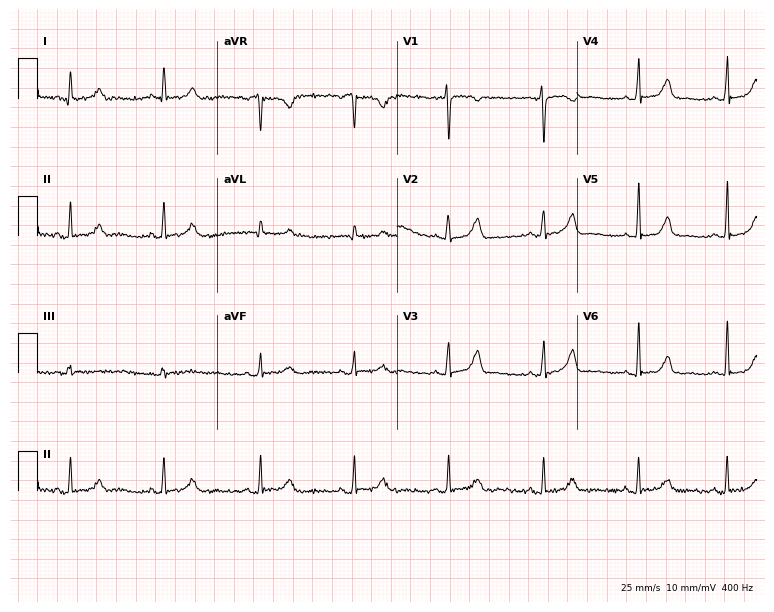
12-lead ECG from a woman, 30 years old. Screened for six findings — first-degree AV block, right bundle branch block, left bundle branch block, sinus bradycardia, atrial fibrillation, sinus tachycardia — none is recorded.